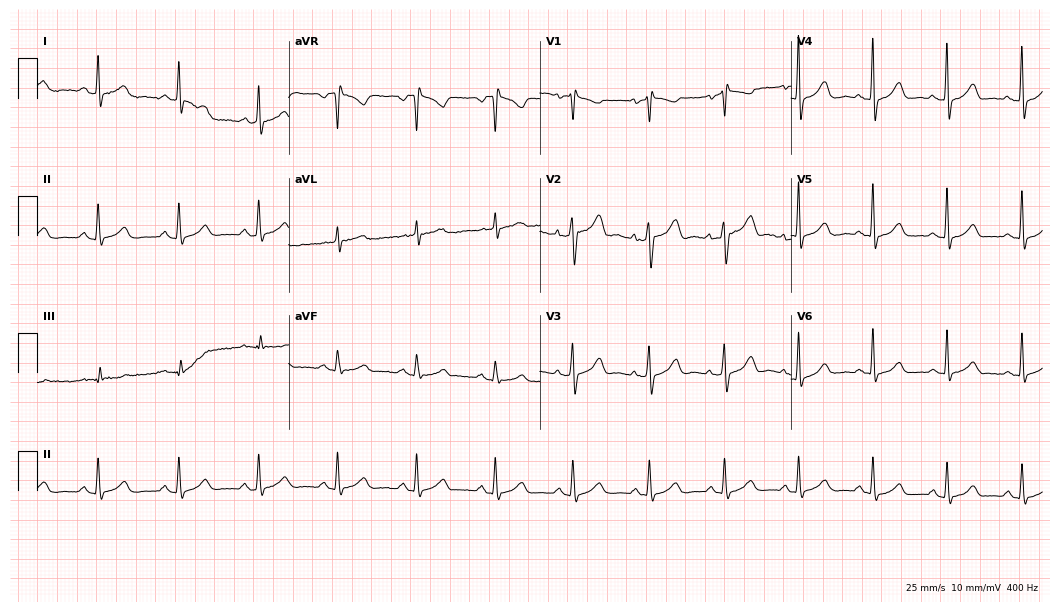
ECG (10.2-second recording at 400 Hz) — a female patient, 56 years old. Labelled as a normal ECG.